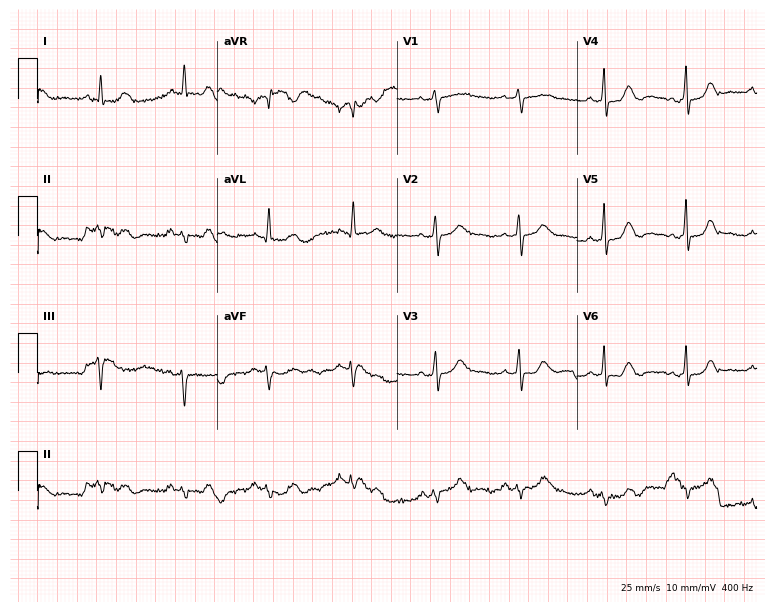
Electrocardiogram, a female patient, 74 years old. Of the six screened findings (first-degree AV block, right bundle branch block (RBBB), left bundle branch block (LBBB), sinus bradycardia, atrial fibrillation (AF), sinus tachycardia), none is recorded. Only these six findings were labelled.